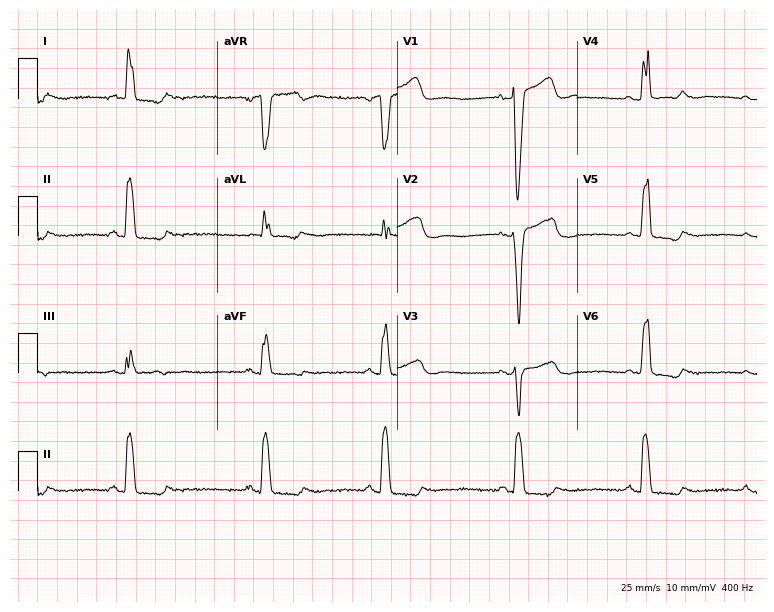
Standard 12-lead ECG recorded from an 82-year-old female. None of these six findings is recorded: first-degree AV block, right bundle branch block (RBBB), left bundle branch block (LBBB), sinus bradycardia, atrial fibrillation (AF), sinus tachycardia. Other findings, if any, are not listed.